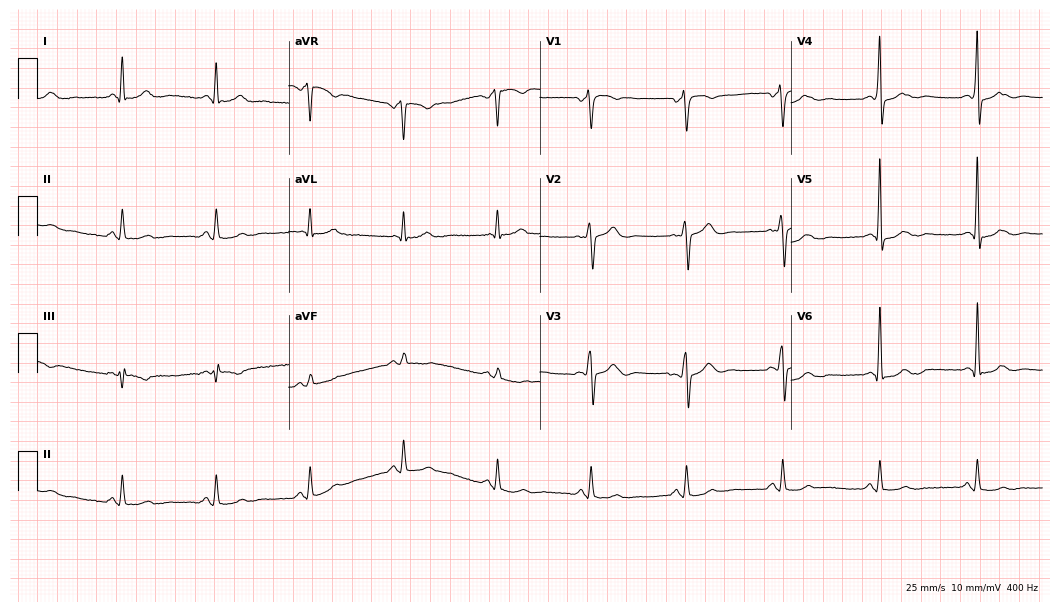
ECG — a male patient, 59 years old. Labelled as a normal ECG.